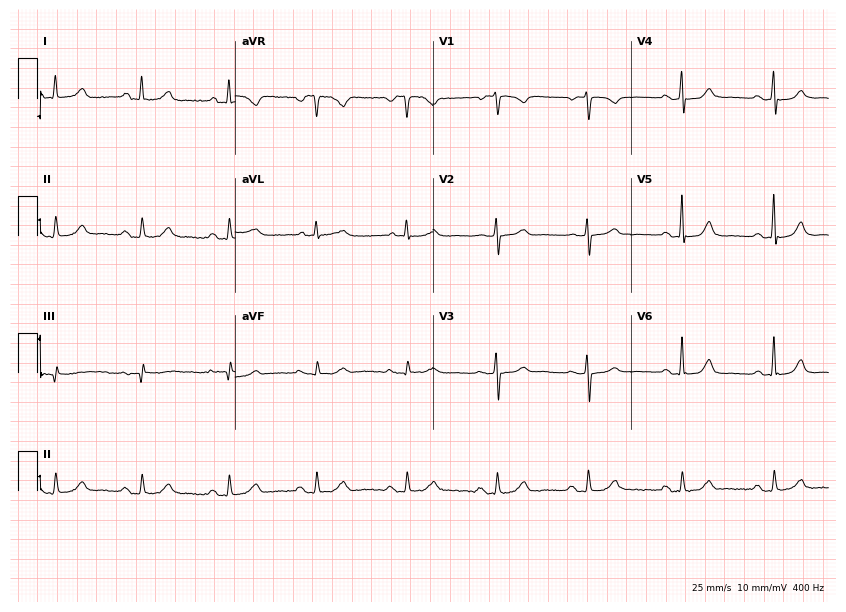
Electrocardiogram, a 56-year-old woman. Overall reading on record: normal ECG.